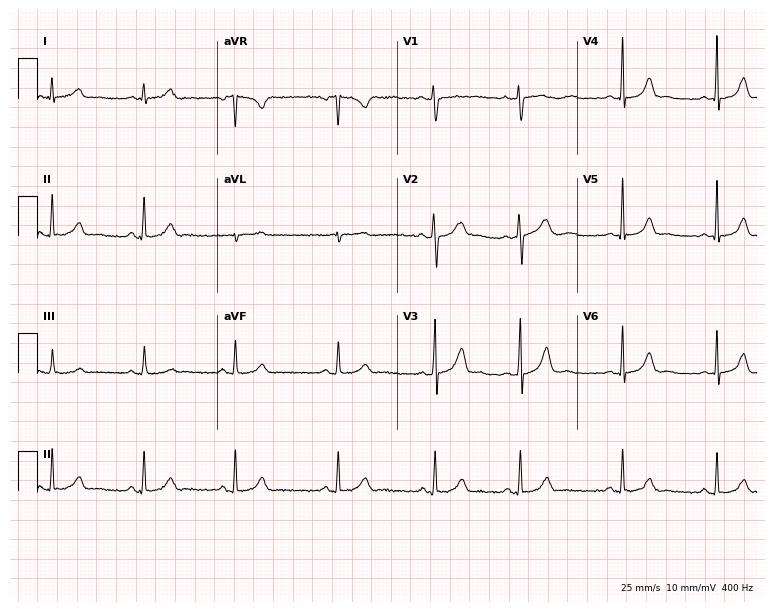
Resting 12-lead electrocardiogram (7.3-second recording at 400 Hz). Patient: a 23-year-old male. None of these six findings is recorded: first-degree AV block, right bundle branch block, left bundle branch block, sinus bradycardia, atrial fibrillation, sinus tachycardia. Findings outside these six are not listed.